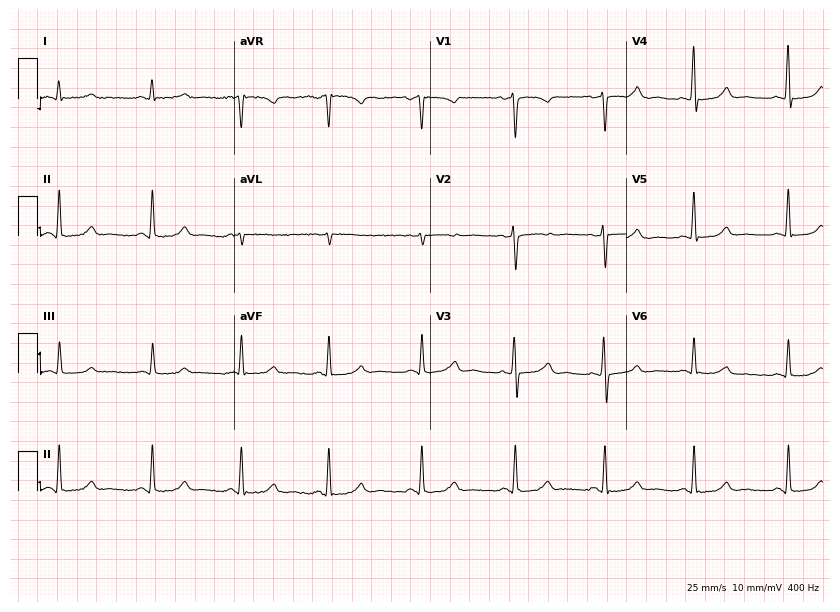
ECG (8-second recording at 400 Hz) — a 39-year-old female patient. Labelled as a normal ECG.